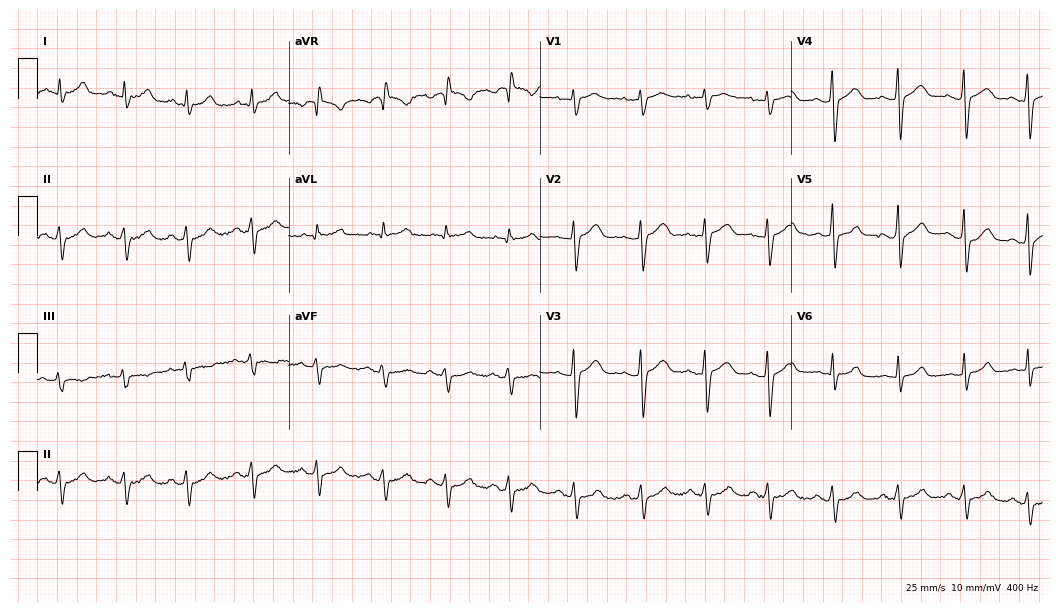
Resting 12-lead electrocardiogram (10.2-second recording at 400 Hz). Patient: a woman, 57 years old. Read as a normal ECG.